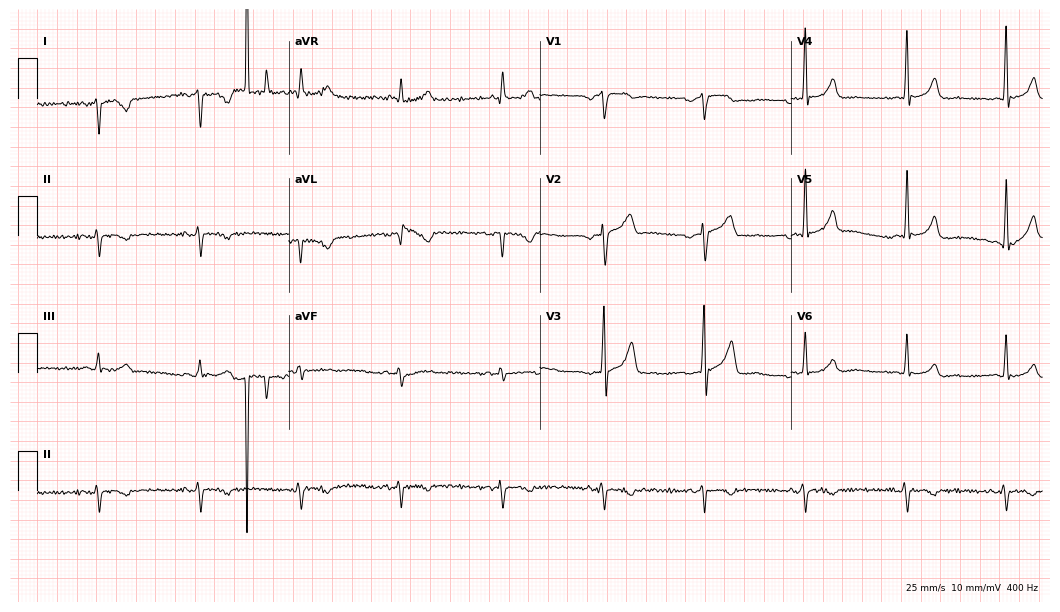
Electrocardiogram (10.2-second recording at 400 Hz), a man, 56 years old. Of the six screened findings (first-degree AV block, right bundle branch block (RBBB), left bundle branch block (LBBB), sinus bradycardia, atrial fibrillation (AF), sinus tachycardia), none is recorded.